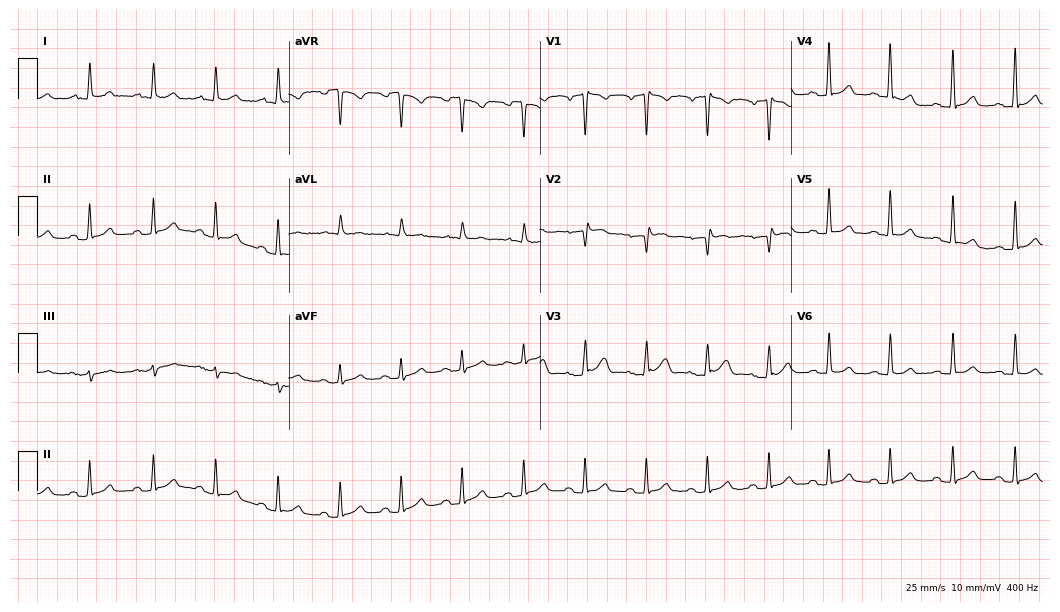
ECG — a male patient, 57 years old. Screened for six findings — first-degree AV block, right bundle branch block, left bundle branch block, sinus bradycardia, atrial fibrillation, sinus tachycardia — none is recorded. Findings outside these six are not listed.